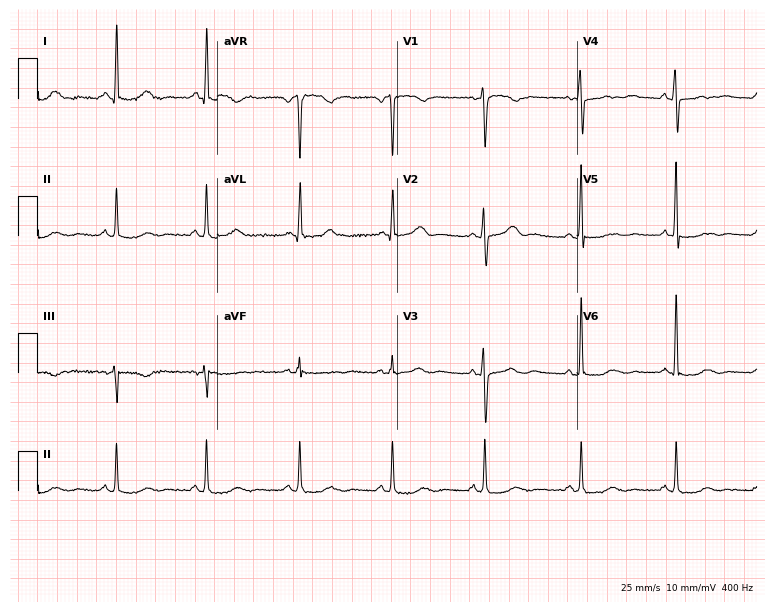
12-lead ECG from a female, 57 years old. Recorded interpretation: within normal limits.